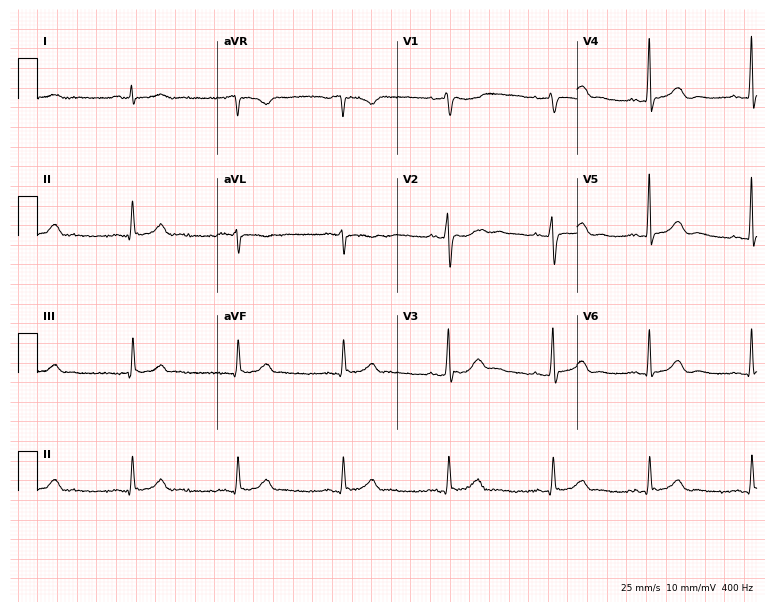
ECG (7.3-second recording at 400 Hz) — a 41-year-old male patient. Labelled as a normal ECG.